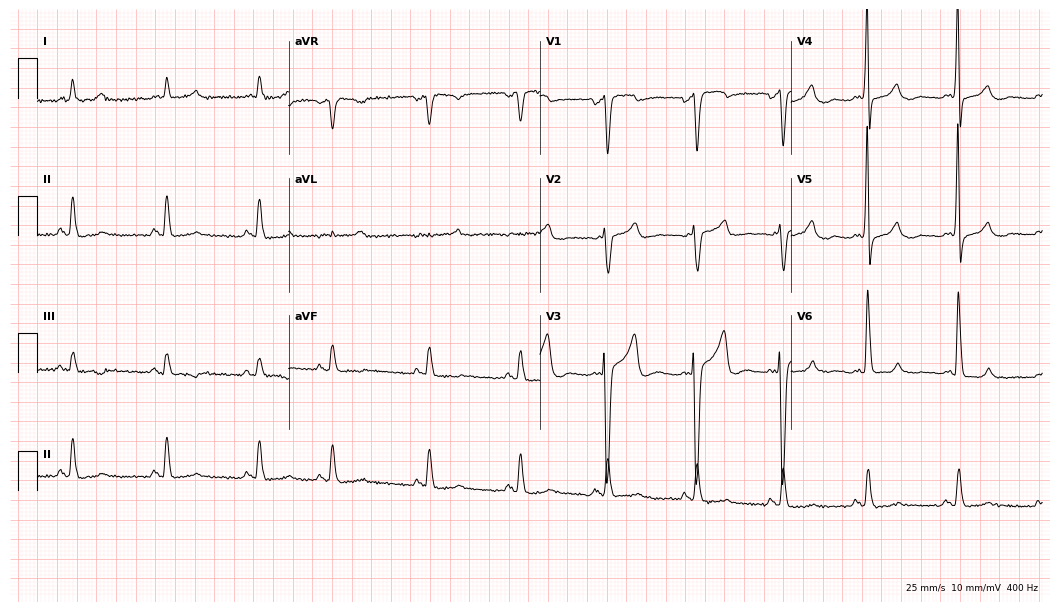
12-lead ECG (10.2-second recording at 400 Hz) from a 79-year-old male. Screened for six findings — first-degree AV block, right bundle branch block, left bundle branch block, sinus bradycardia, atrial fibrillation, sinus tachycardia — none is recorded.